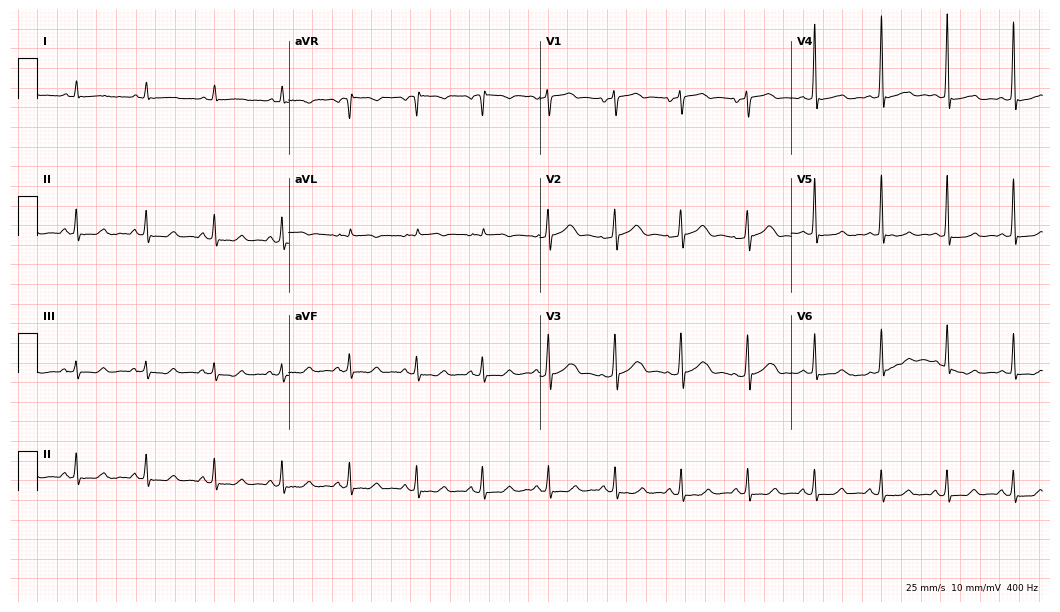
12-lead ECG from a 60-year-old female. Labelled as a normal ECG.